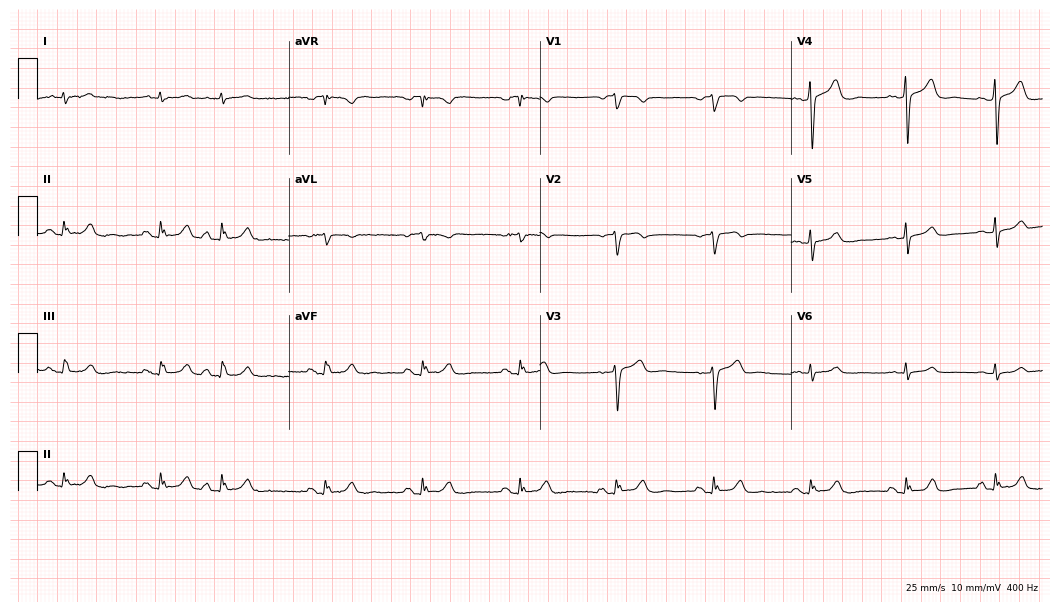
ECG — an 80-year-old male. Screened for six findings — first-degree AV block, right bundle branch block, left bundle branch block, sinus bradycardia, atrial fibrillation, sinus tachycardia — none is recorded. Only these six findings were labelled.